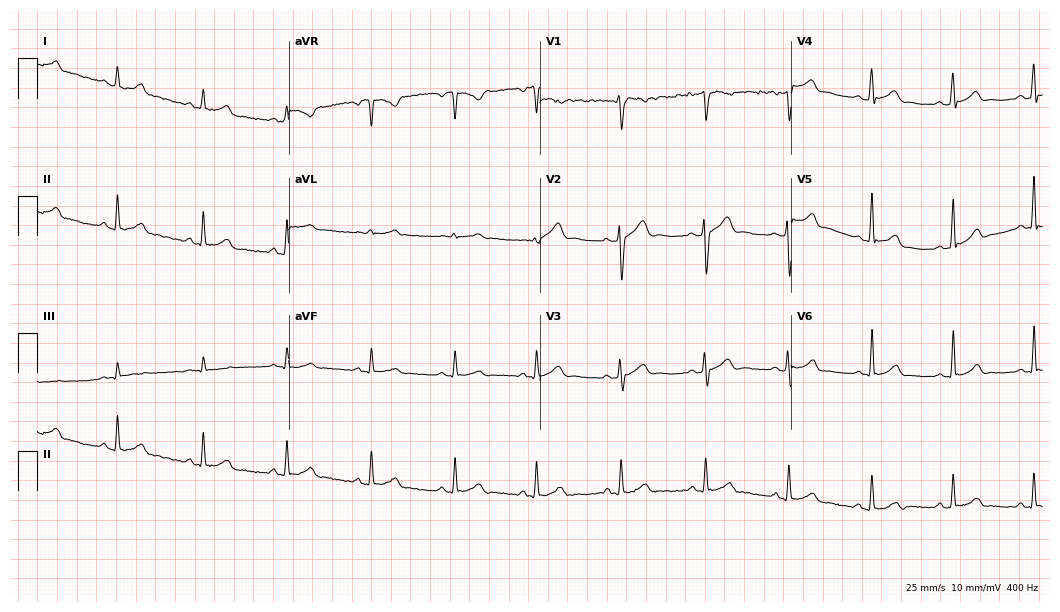
12-lead ECG (10.2-second recording at 400 Hz) from a 31-year-old male. Labelled as a normal ECG.